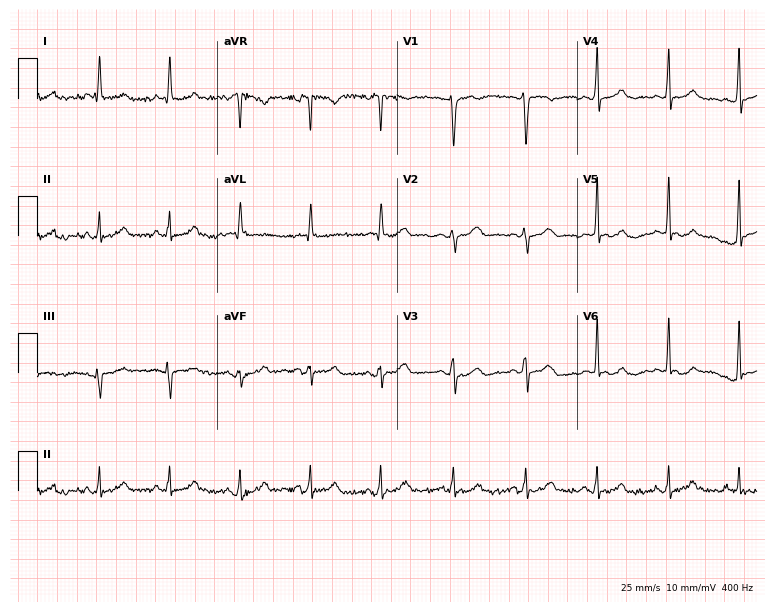
Resting 12-lead electrocardiogram (7.3-second recording at 400 Hz). Patient: a female, 39 years old. None of these six findings is recorded: first-degree AV block, right bundle branch block, left bundle branch block, sinus bradycardia, atrial fibrillation, sinus tachycardia. Only these six findings were labelled.